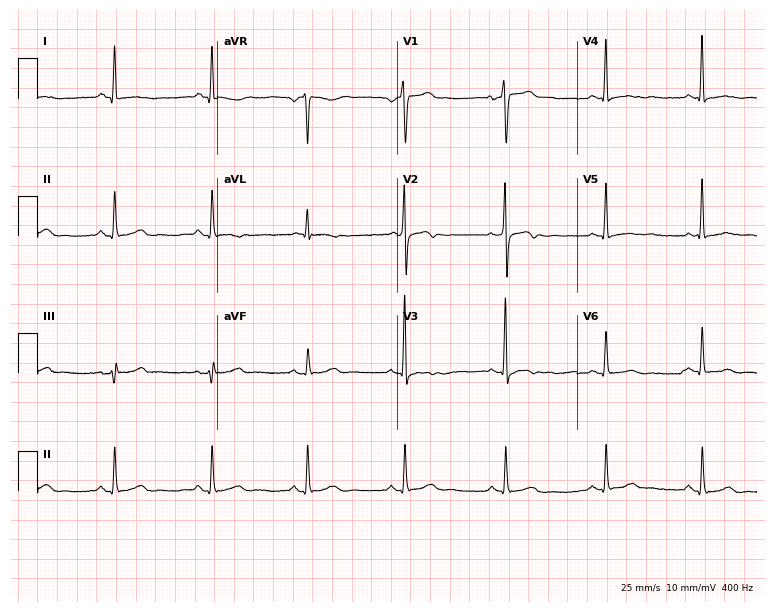
Standard 12-lead ECG recorded from a man, 52 years old. None of these six findings is recorded: first-degree AV block, right bundle branch block, left bundle branch block, sinus bradycardia, atrial fibrillation, sinus tachycardia. Findings outside these six are not listed.